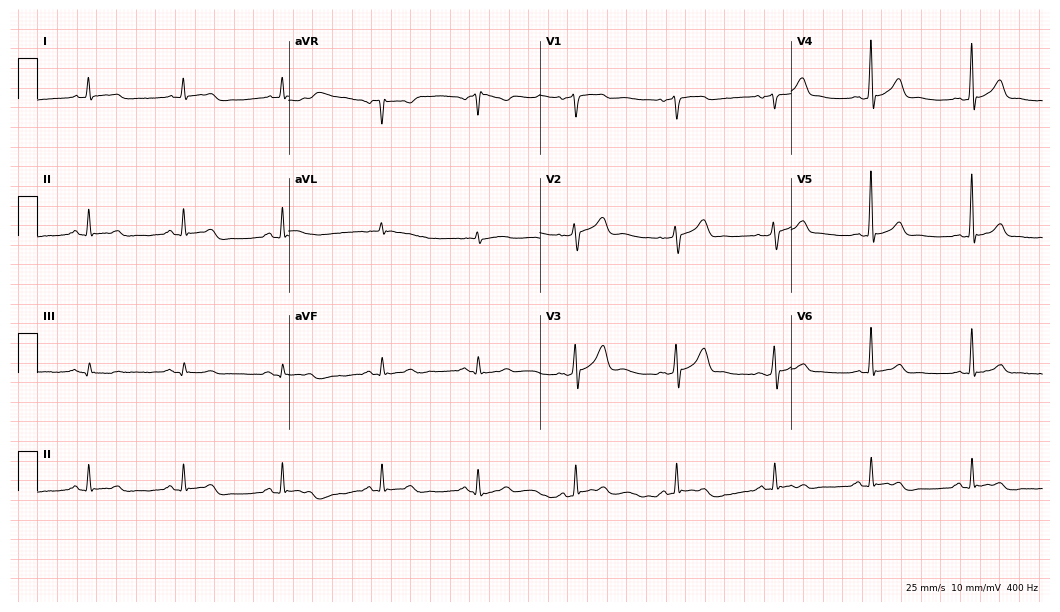
12-lead ECG from a male patient, 76 years old (10.2-second recording at 400 Hz). Recorded interpretation: within normal limits.